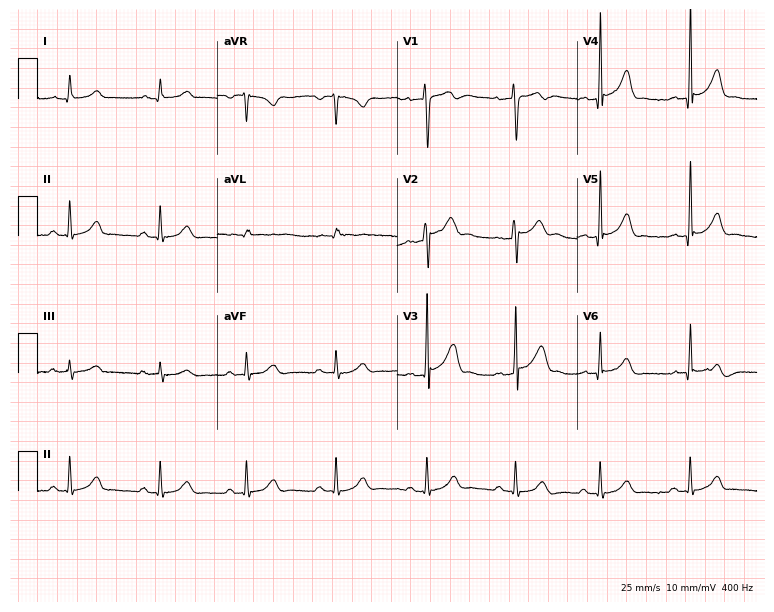
Electrocardiogram, a 23-year-old male. Overall reading on record: normal ECG.